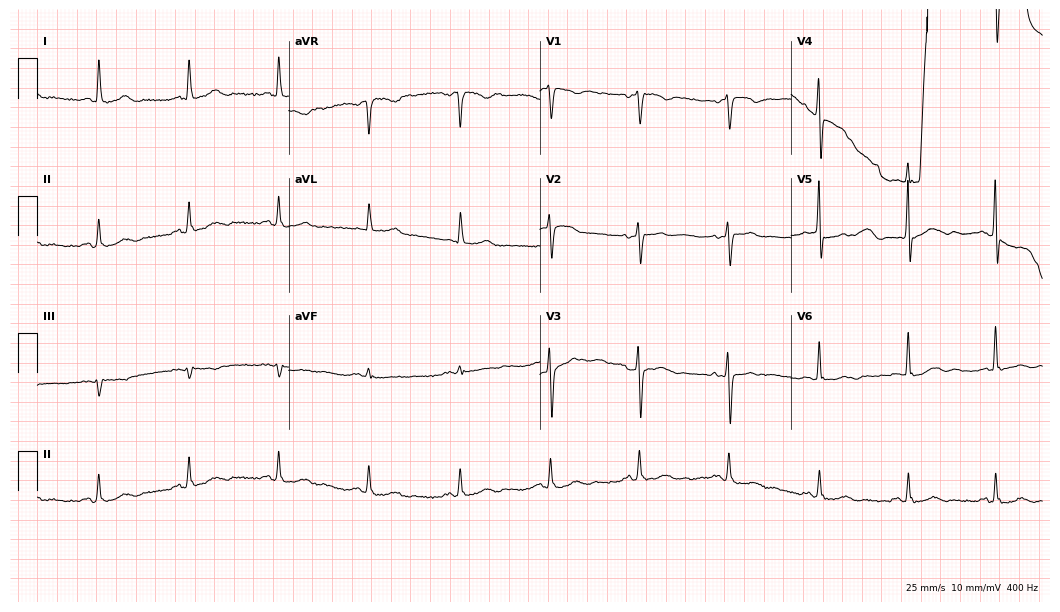
Standard 12-lead ECG recorded from a female, 59 years old (10.2-second recording at 400 Hz). None of these six findings is recorded: first-degree AV block, right bundle branch block, left bundle branch block, sinus bradycardia, atrial fibrillation, sinus tachycardia. Other findings, if any, are not listed.